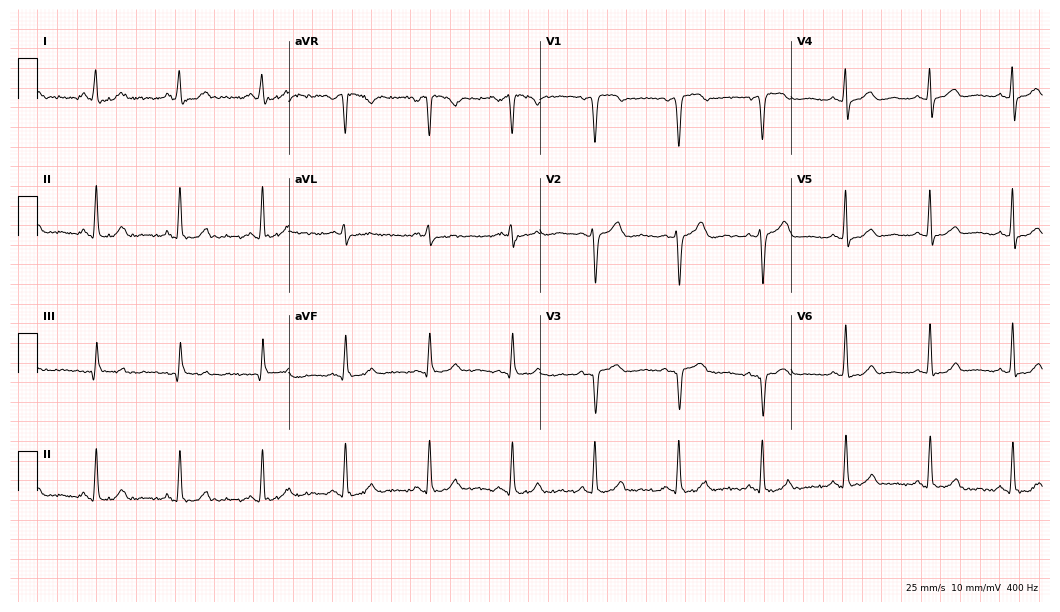
Standard 12-lead ECG recorded from a 37-year-old woman (10.2-second recording at 400 Hz). None of these six findings is recorded: first-degree AV block, right bundle branch block (RBBB), left bundle branch block (LBBB), sinus bradycardia, atrial fibrillation (AF), sinus tachycardia.